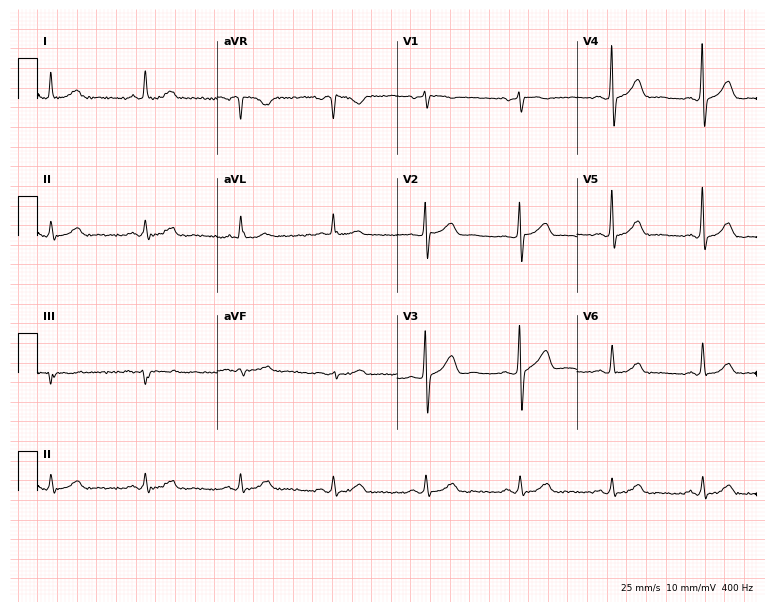
Resting 12-lead electrocardiogram. Patient: a 64-year-old female. None of these six findings is recorded: first-degree AV block, right bundle branch block, left bundle branch block, sinus bradycardia, atrial fibrillation, sinus tachycardia. Only these six findings were labelled.